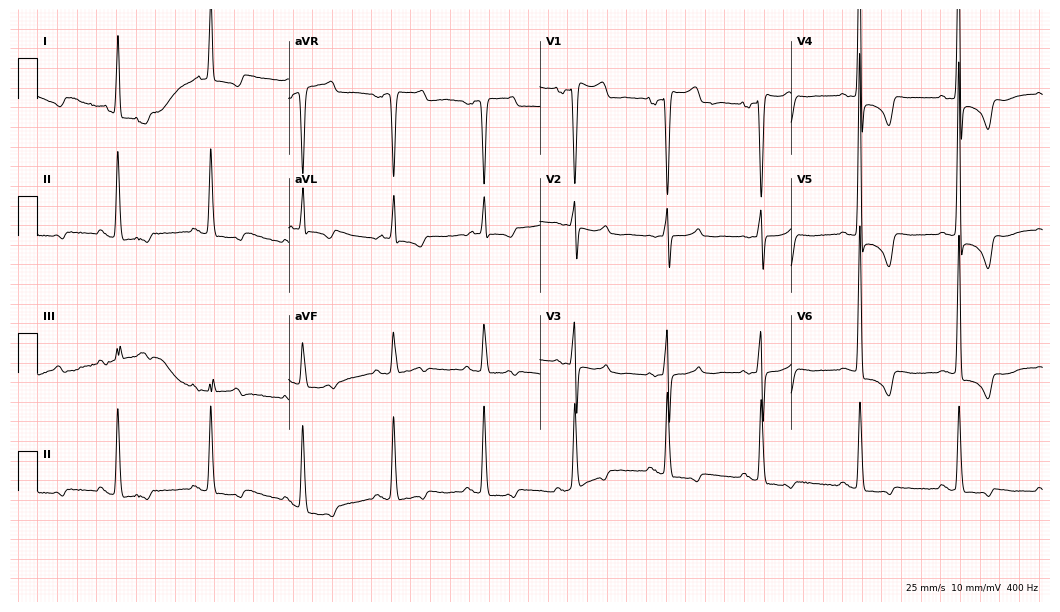
12-lead ECG from a female patient, 78 years old. Screened for six findings — first-degree AV block, right bundle branch block, left bundle branch block, sinus bradycardia, atrial fibrillation, sinus tachycardia — none is recorded. Only these six findings were labelled.